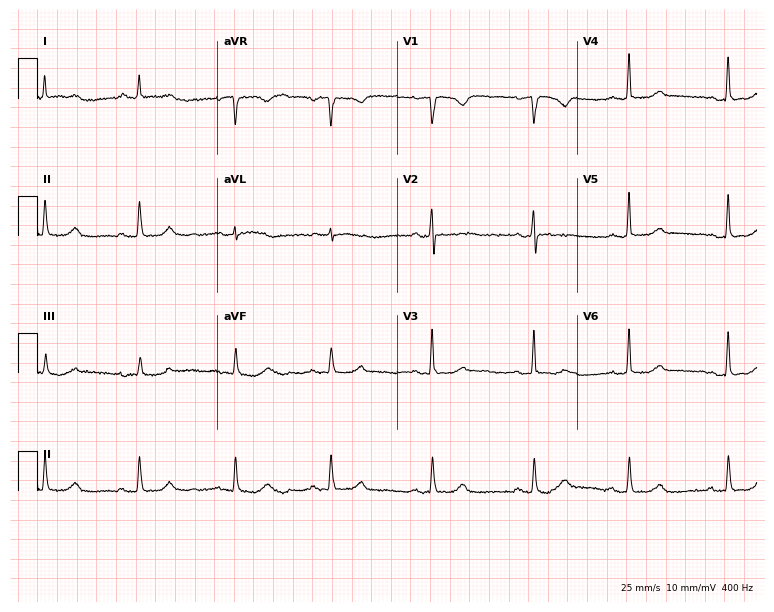
Standard 12-lead ECG recorded from a female patient, 54 years old. Read as a normal ECG.